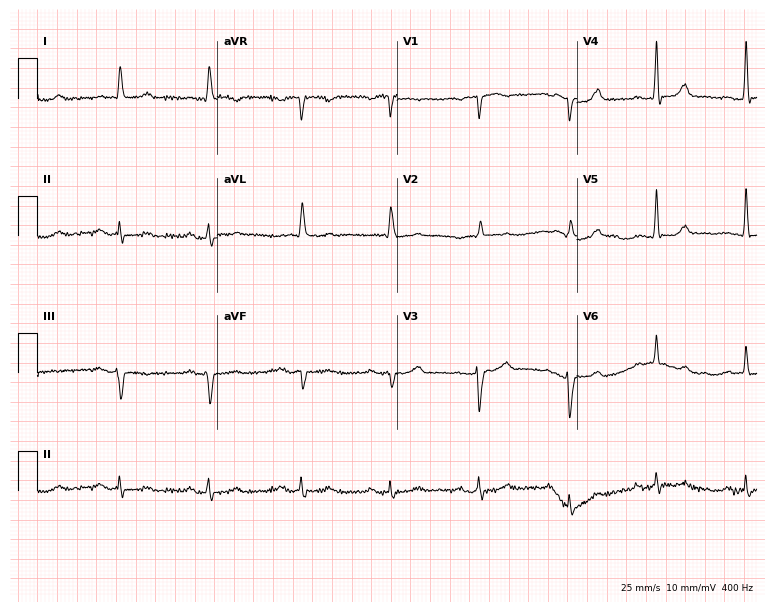
Standard 12-lead ECG recorded from an 81-year-old male patient. None of these six findings is recorded: first-degree AV block, right bundle branch block (RBBB), left bundle branch block (LBBB), sinus bradycardia, atrial fibrillation (AF), sinus tachycardia.